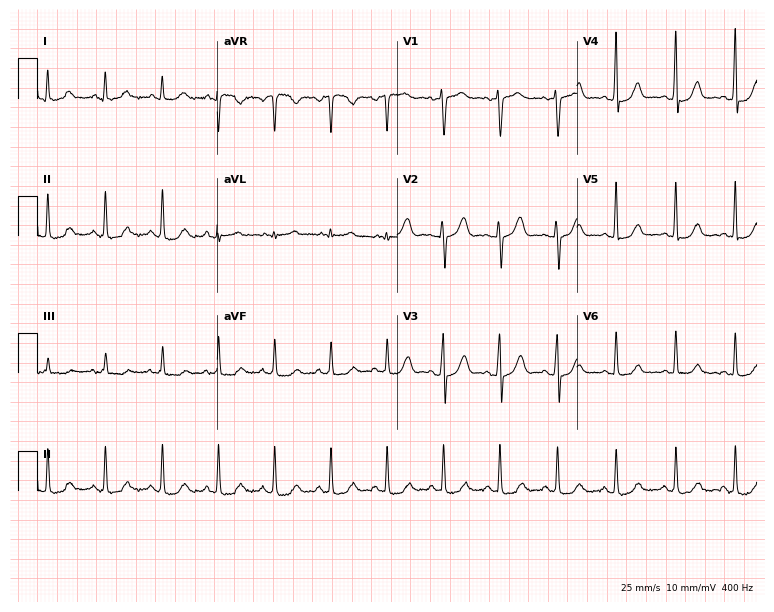
12-lead ECG from a female patient, 37 years old (7.3-second recording at 400 Hz). No first-degree AV block, right bundle branch block (RBBB), left bundle branch block (LBBB), sinus bradycardia, atrial fibrillation (AF) or sinus tachycardia recorded for this tracing. Only these six findings were labelled.